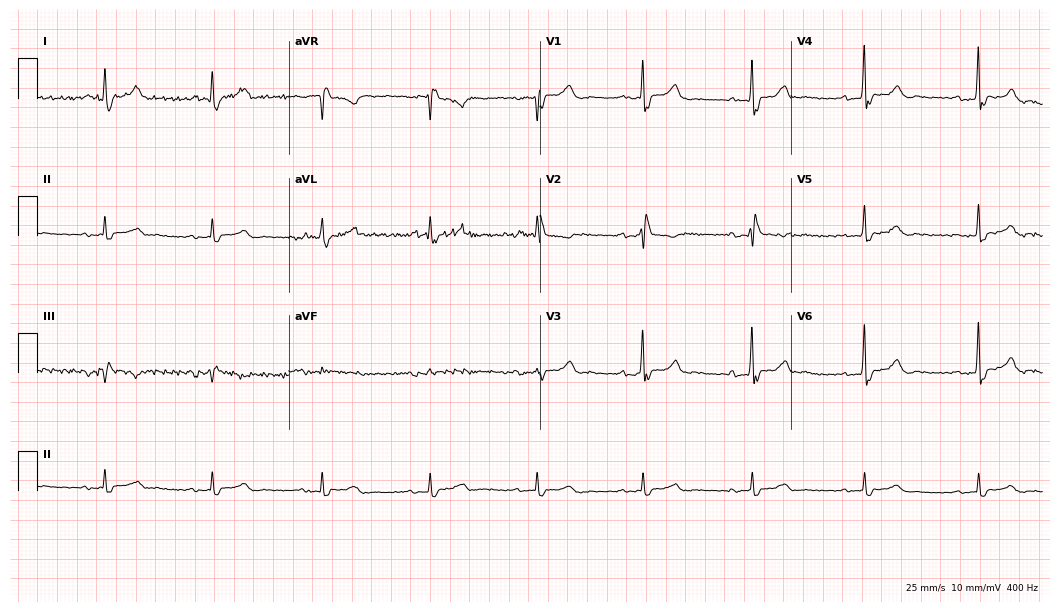
Electrocardiogram (10.2-second recording at 400 Hz), a 70-year-old female patient. Interpretation includes first-degree AV block, right bundle branch block.